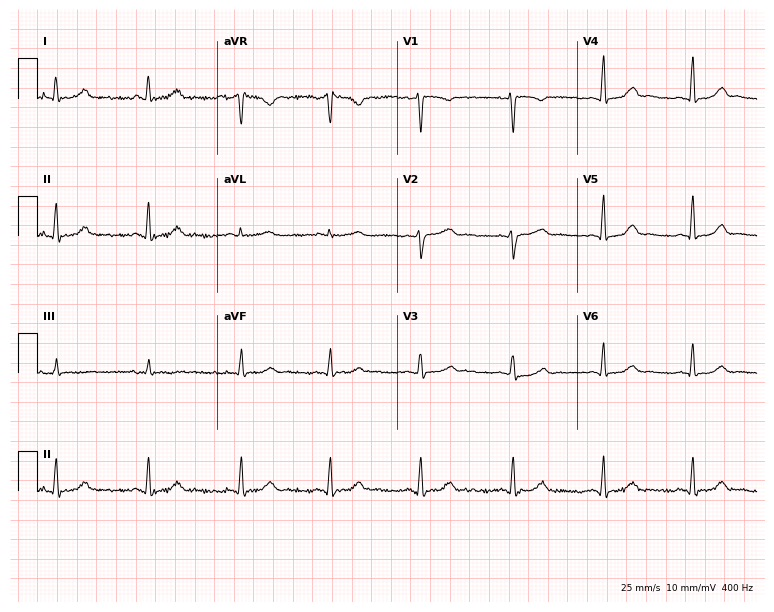
12-lead ECG from a 35-year-old female patient (7.3-second recording at 400 Hz). Recorded interpretation: within normal limits.